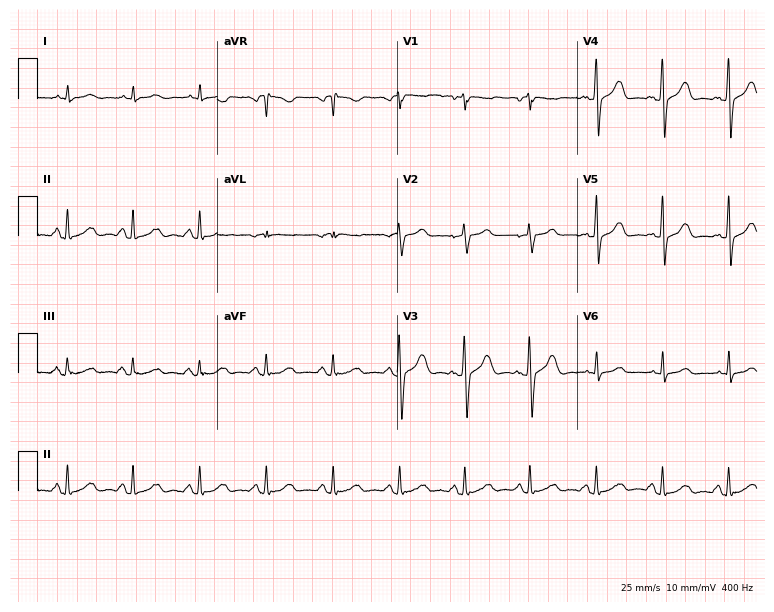
12-lead ECG from a male, 53 years old. No first-degree AV block, right bundle branch block, left bundle branch block, sinus bradycardia, atrial fibrillation or sinus tachycardia recorded for this tracing.